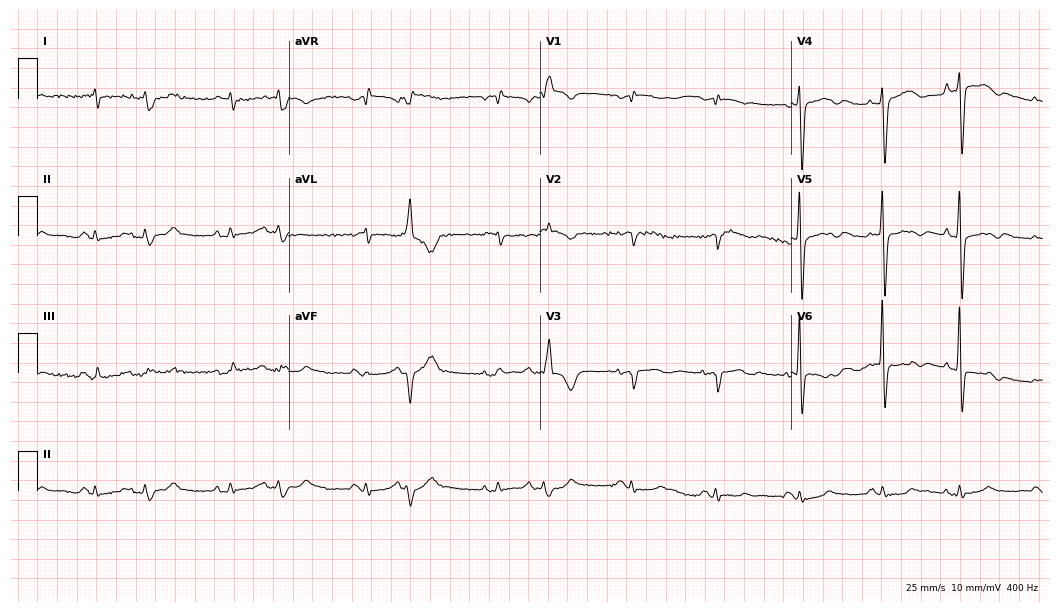
12-lead ECG from a male patient, 85 years old. No first-degree AV block, right bundle branch block (RBBB), left bundle branch block (LBBB), sinus bradycardia, atrial fibrillation (AF) or sinus tachycardia recorded for this tracing.